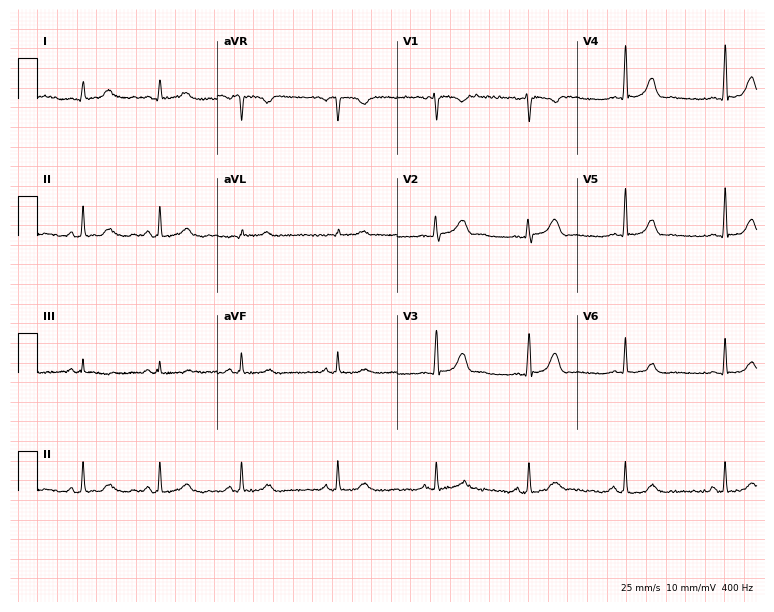
ECG (7.3-second recording at 400 Hz) — a female, 32 years old. Screened for six findings — first-degree AV block, right bundle branch block (RBBB), left bundle branch block (LBBB), sinus bradycardia, atrial fibrillation (AF), sinus tachycardia — none is recorded.